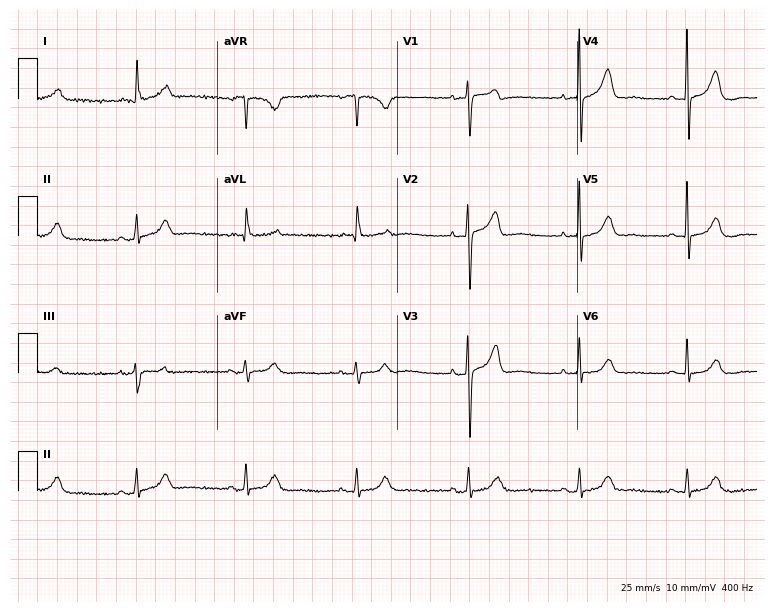
12-lead ECG (7.3-second recording at 400 Hz) from a woman, 84 years old. Labelled as a normal ECG.